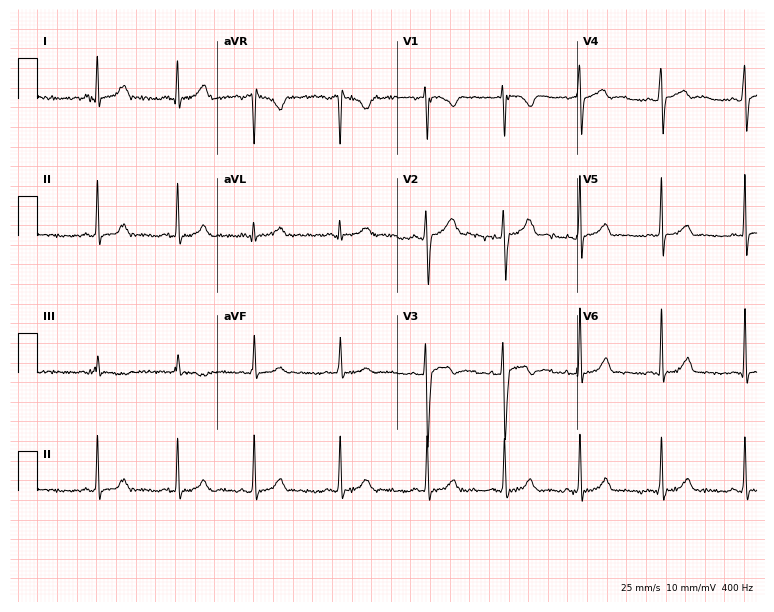
12-lead ECG from a female patient, 19 years old. Labelled as a normal ECG.